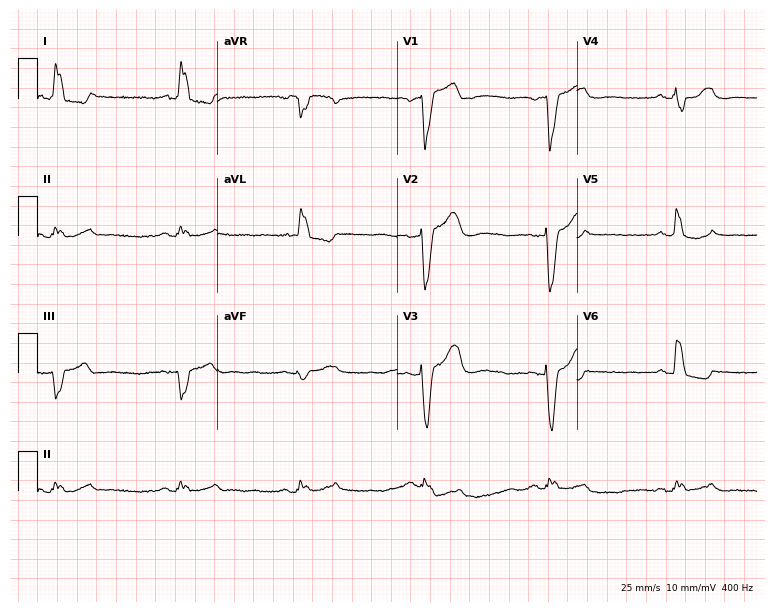
Electrocardiogram, a woman, 72 years old. Of the six screened findings (first-degree AV block, right bundle branch block (RBBB), left bundle branch block (LBBB), sinus bradycardia, atrial fibrillation (AF), sinus tachycardia), none is recorded. Only these six findings were labelled.